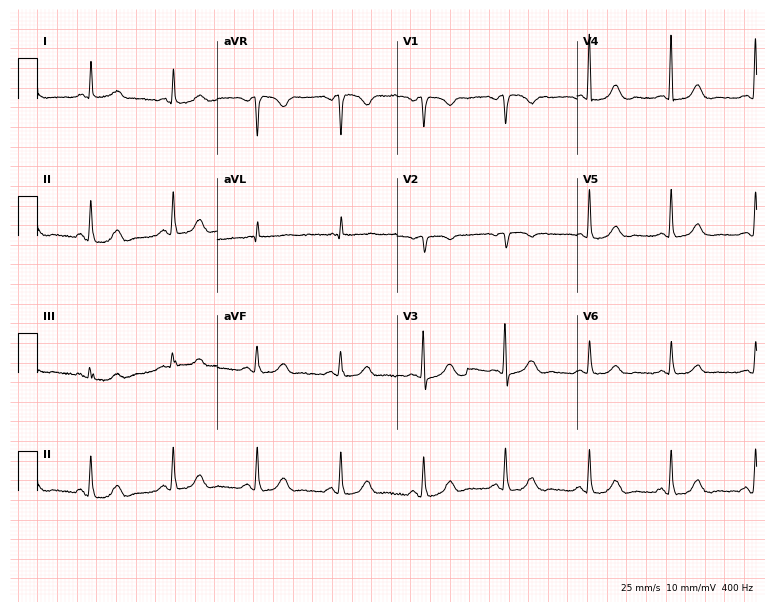
ECG — a female patient, 84 years old. Screened for six findings — first-degree AV block, right bundle branch block (RBBB), left bundle branch block (LBBB), sinus bradycardia, atrial fibrillation (AF), sinus tachycardia — none is recorded. Only these six findings were labelled.